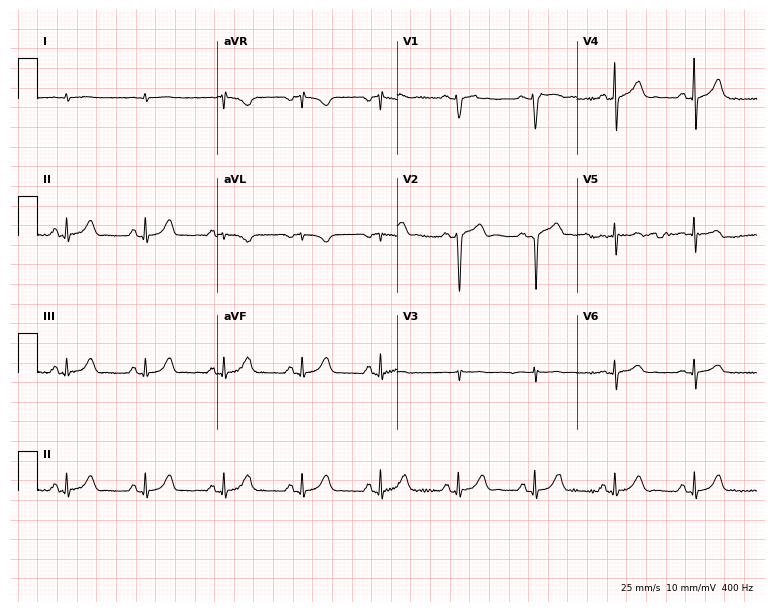
12-lead ECG from a male, 82 years old. Screened for six findings — first-degree AV block, right bundle branch block, left bundle branch block, sinus bradycardia, atrial fibrillation, sinus tachycardia — none is recorded. Only these six findings were labelled.